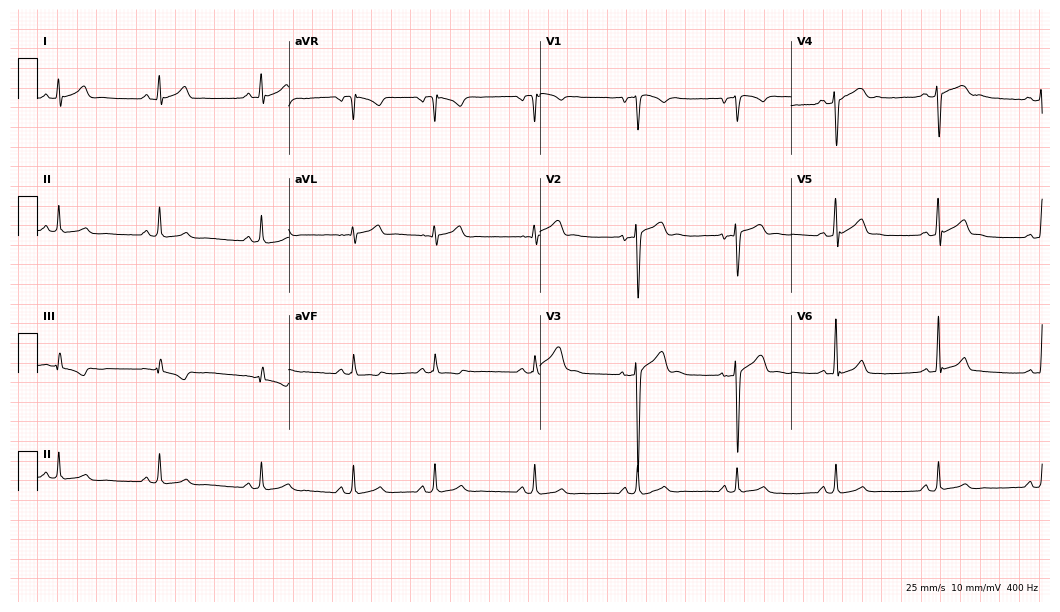
12-lead ECG from a man, 33 years old (10.2-second recording at 400 Hz). Recorded interpretation: within normal limits.